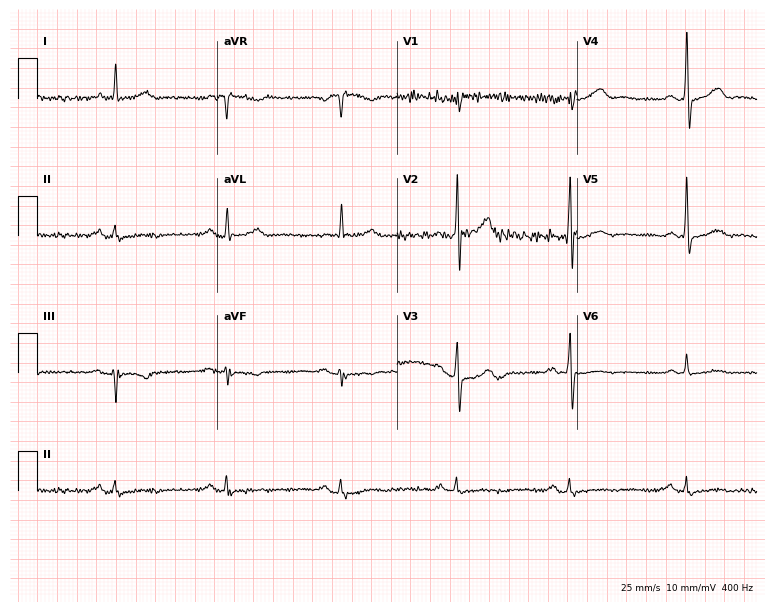
Standard 12-lead ECG recorded from a 60-year-old male (7.3-second recording at 400 Hz). Read as a normal ECG.